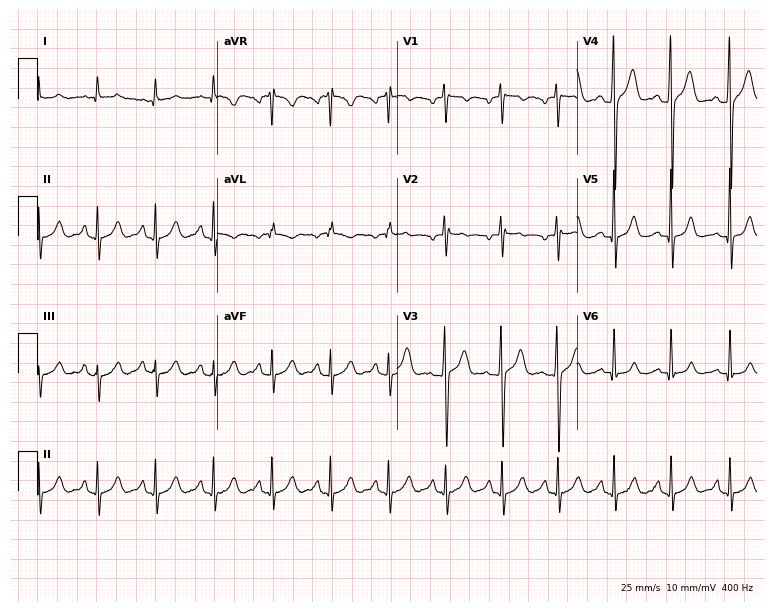
Standard 12-lead ECG recorded from a 25-year-old male (7.3-second recording at 400 Hz). Read as a normal ECG.